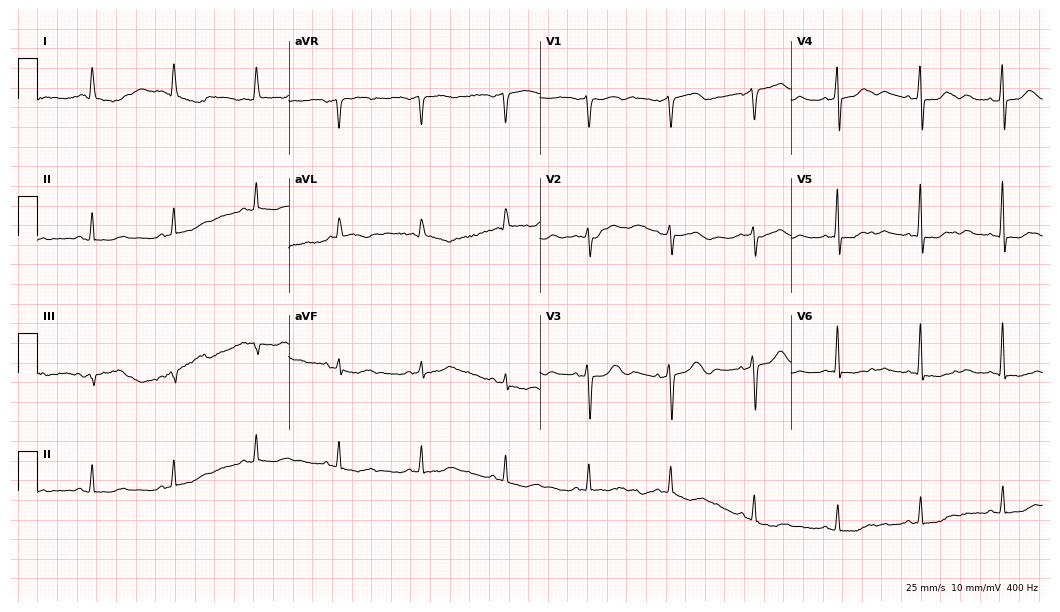
Standard 12-lead ECG recorded from a female patient, 75 years old (10.2-second recording at 400 Hz). None of these six findings is recorded: first-degree AV block, right bundle branch block, left bundle branch block, sinus bradycardia, atrial fibrillation, sinus tachycardia.